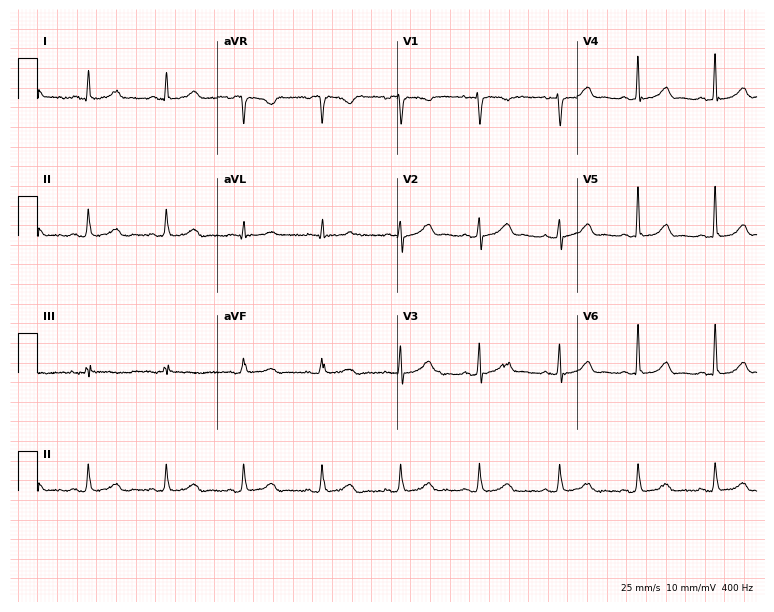
12-lead ECG (7.3-second recording at 400 Hz) from a woman, 43 years old. Screened for six findings — first-degree AV block, right bundle branch block, left bundle branch block, sinus bradycardia, atrial fibrillation, sinus tachycardia — none is recorded. Only these six findings were labelled.